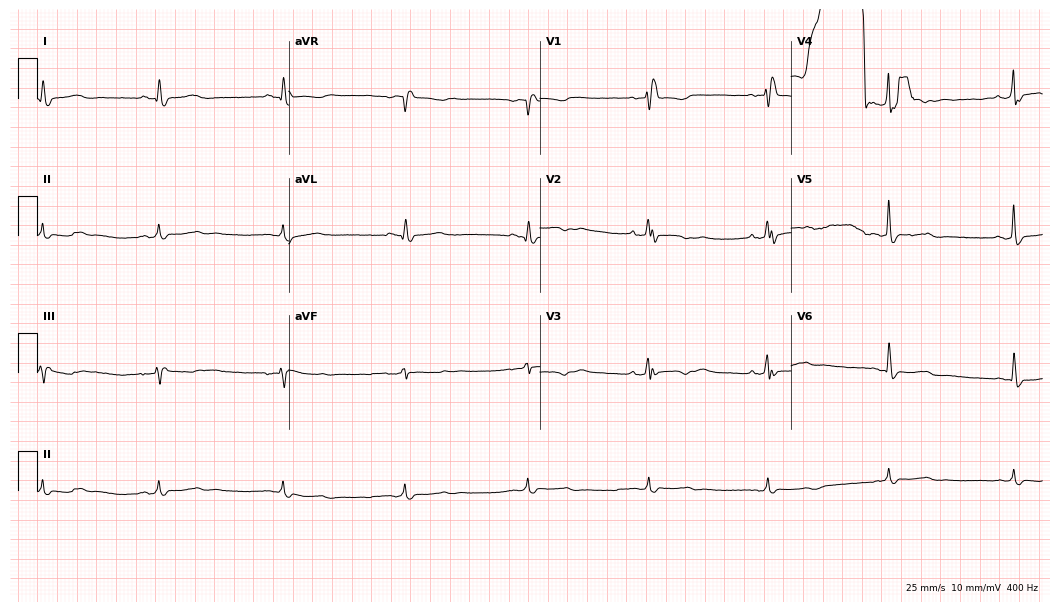
Electrocardiogram, a female patient, 56 years old. Of the six screened findings (first-degree AV block, right bundle branch block, left bundle branch block, sinus bradycardia, atrial fibrillation, sinus tachycardia), none is recorded.